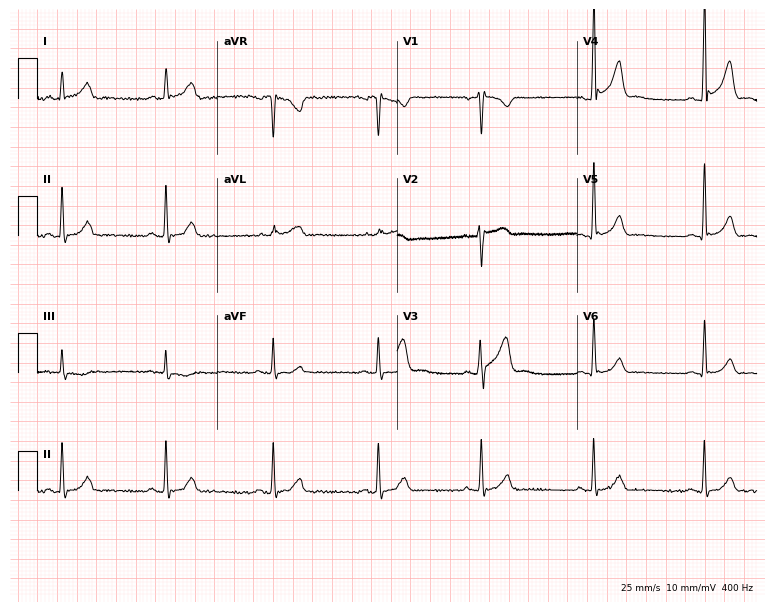
Resting 12-lead electrocardiogram. Patient: a man, 33 years old. Read as a normal ECG.